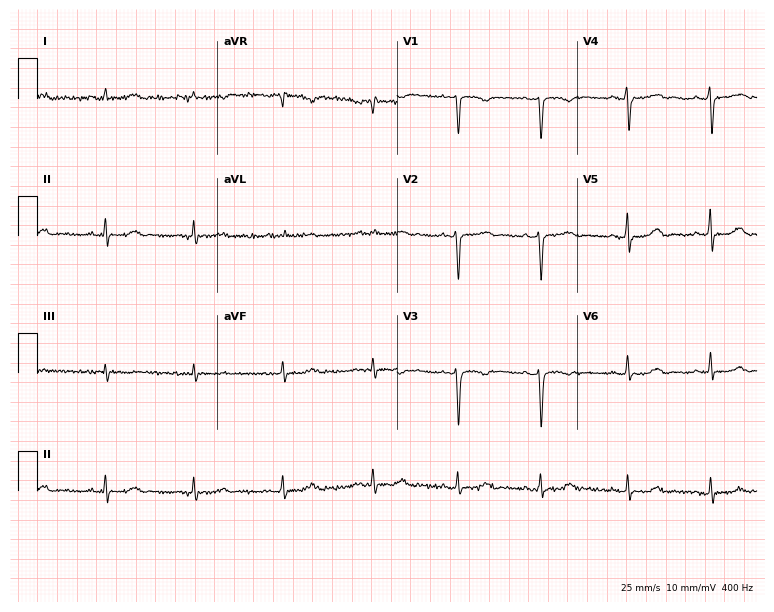
12-lead ECG from a 49-year-old female. No first-degree AV block, right bundle branch block, left bundle branch block, sinus bradycardia, atrial fibrillation or sinus tachycardia recorded for this tracing. Findings outside these six are not listed.